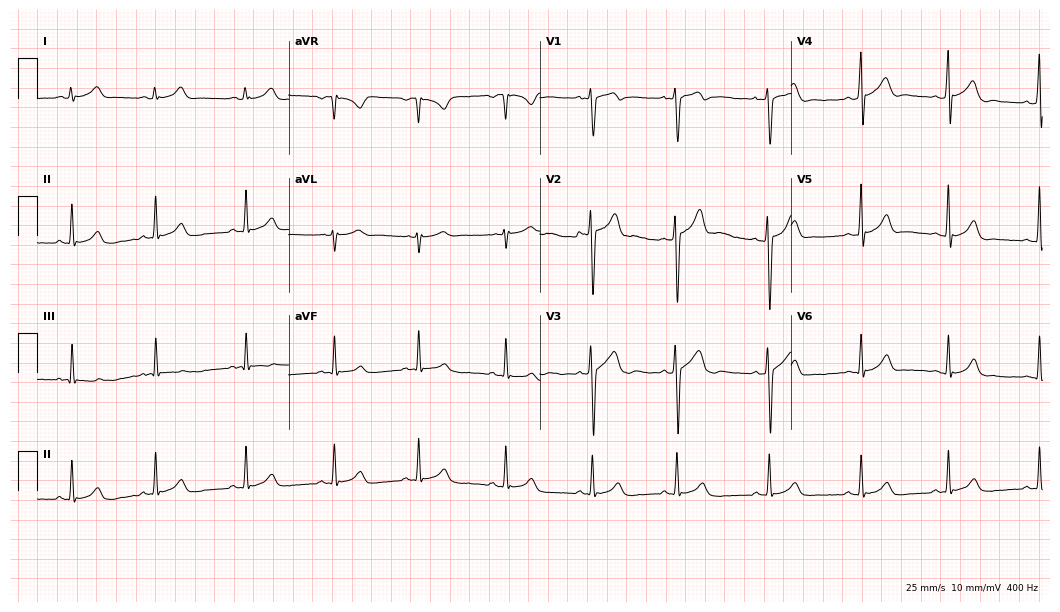
ECG — a 23-year-old woman. Labelled as a normal ECG.